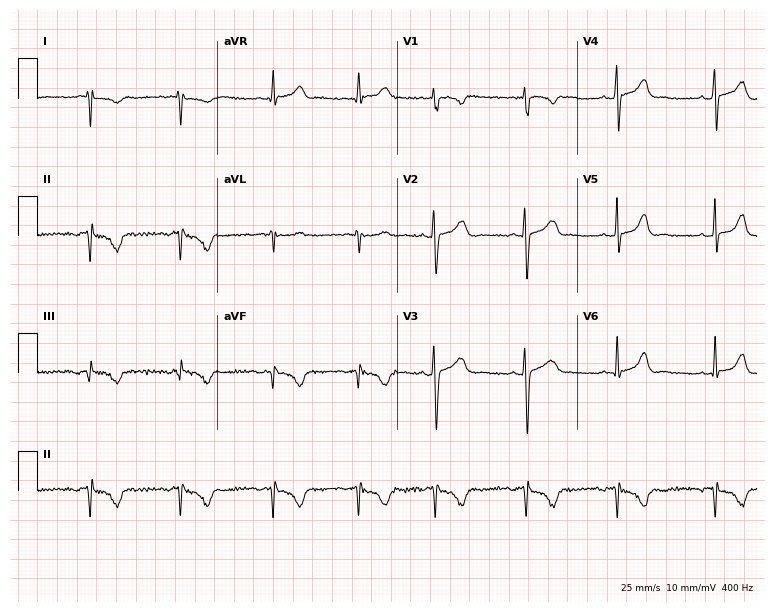
12-lead ECG from a 20-year-old woman. Screened for six findings — first-degree AV block, right bundle branch block, left bundle branch block, sinus bradycardia, atrial fibrillation, sinus tachycardia — none is recorded.